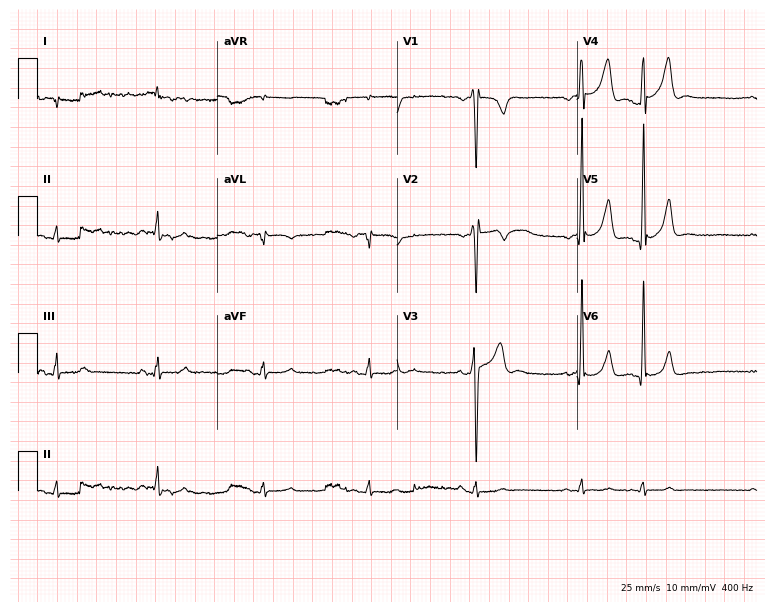
ECG (7.3-second recording at 400 Hz) — a male, 30 years old. Screened for six findings — first-degree AV block, right bundle branch block, left bundle branch block, sinus bradycardia, atrial fibrillation, sinus tachycardia — none is recorded.